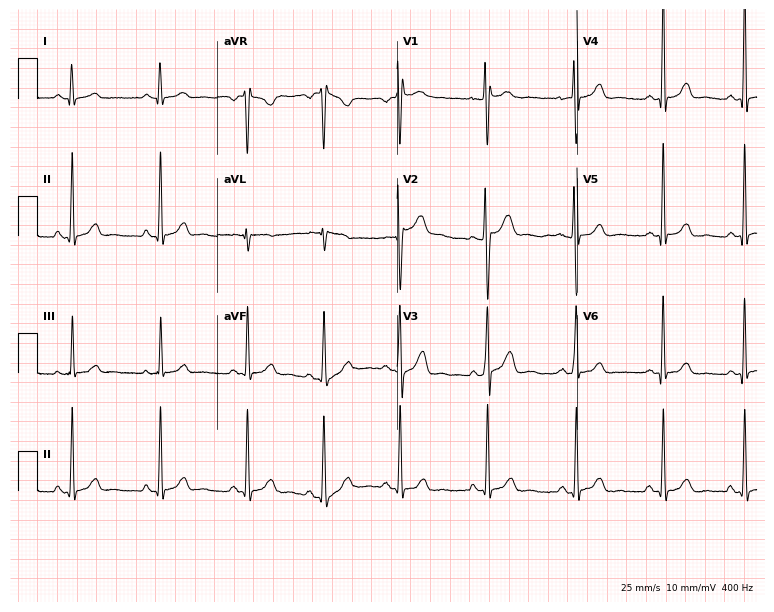
Electrocardiogram, a female, 30 years old. Of the six screened findings (first-degree AV block, right bundle branch block (RBBB), left bundle branch block (LBBB), sinus bradycardia, atrial fibrillation (AF), sinus tachycardia), none is recorded.